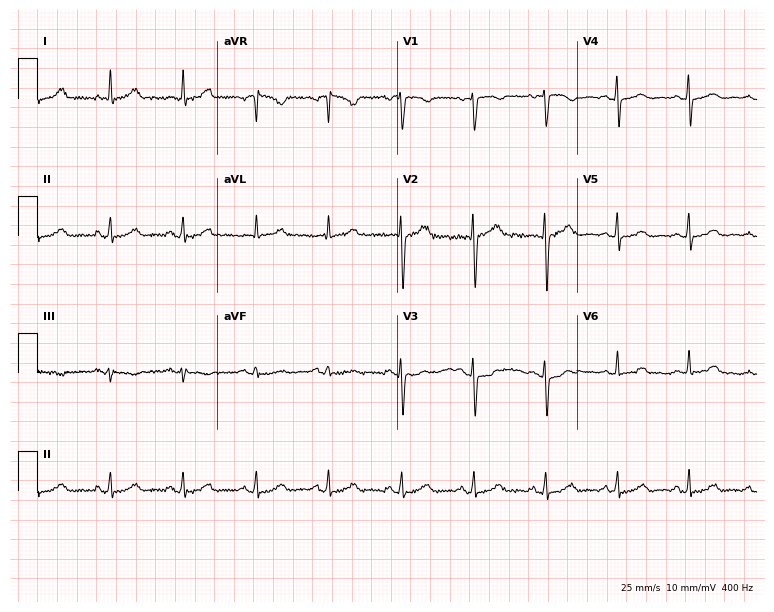
12-lead ECG from a 47-year-old female. Labelled as a normal ECG.